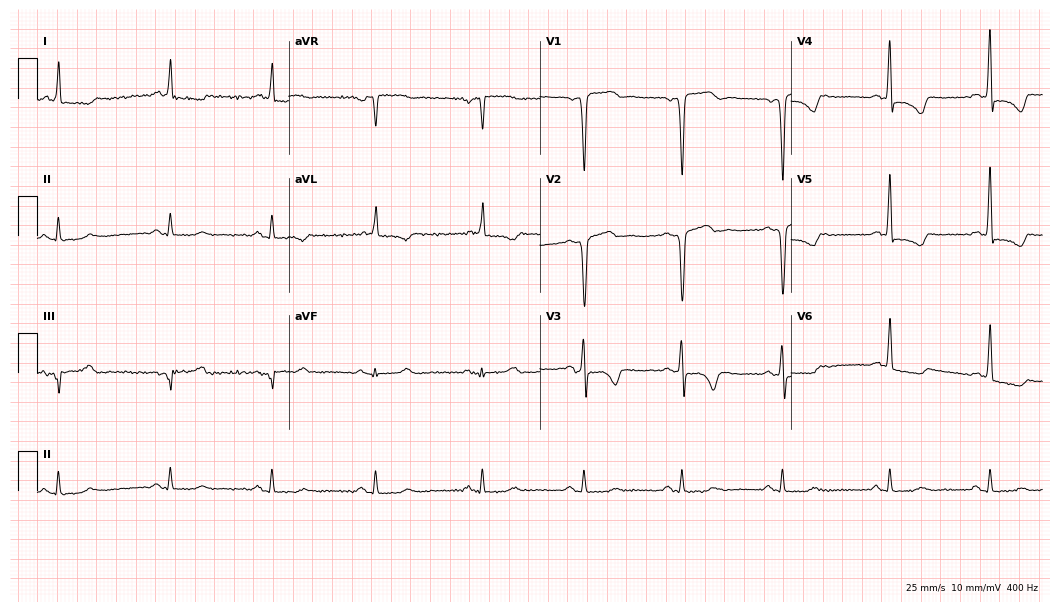
Resting 12-lead electrocardiogram (10.2-second recording at 400 Hz). Patient: a man, 49 years old. None of these six findings is recorded: first-degree AV block, right bundle branch block, left bundle branch block, sinus bradycardia, atrial fibrillation, sinus tachycardia.